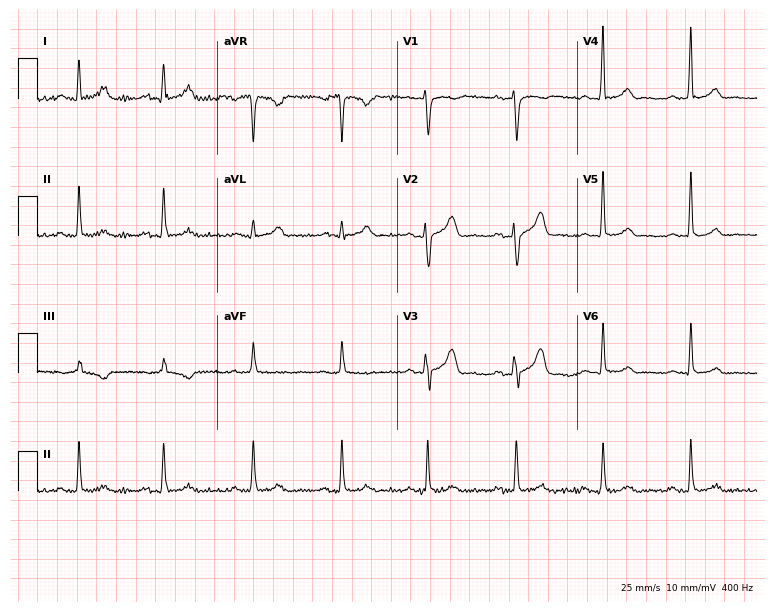
ECG (7.3-second recording at 400 Hz) — a man, 46 years old. Screened for six findings — first-degree AV block, right bundle branch block (RBBB), left bundle branch block (LBBB), sinus bradycardia, atrial fibrillation (AF), sinus tachycardia — none is recorded.